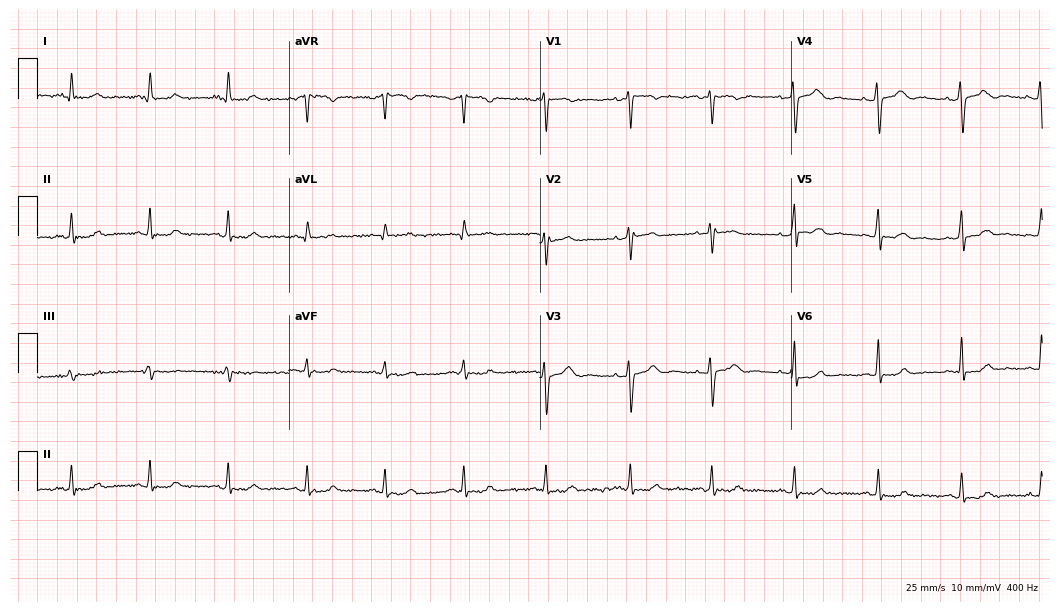
12-lead ECG from a 36-year-old woman. No first-degree AV block, right bundle branch block (RBBB), left bundle branch block (LBBB), sinus bradycardia, atrial fibrillation (AF) or sinus tachycardia recorded for this tracing.